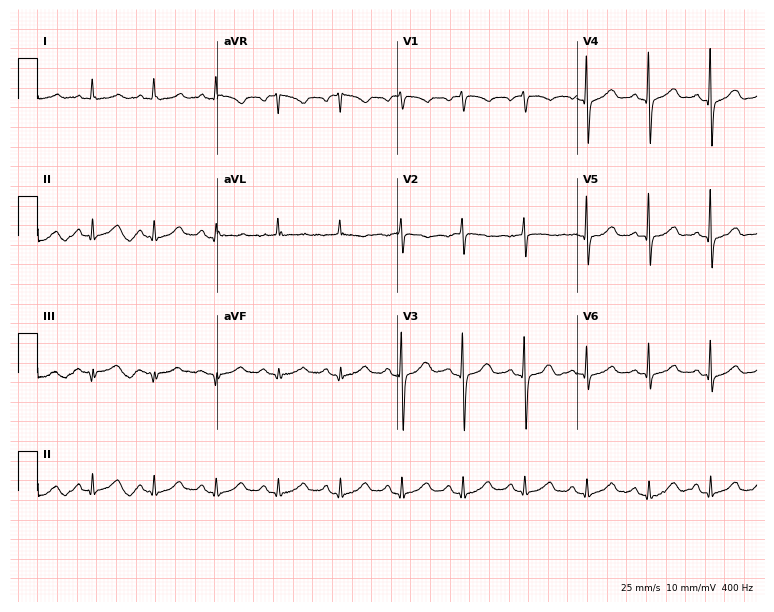
Electrocardiogram, a 78-year-old female patient. Overall reading on record: normal ECG.